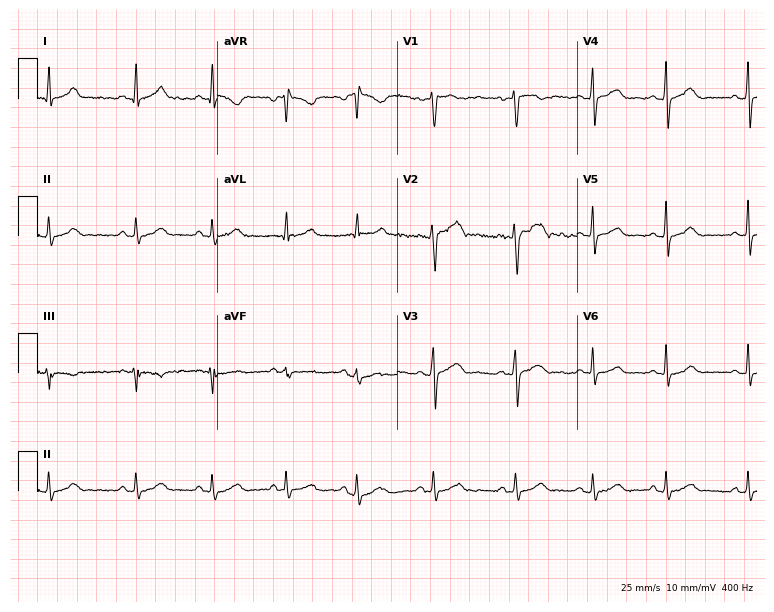
Electrocardiogram (7.3-second recording at 400 Hz), a 23-year-old female patient. Overall reading on record: normal ECG.